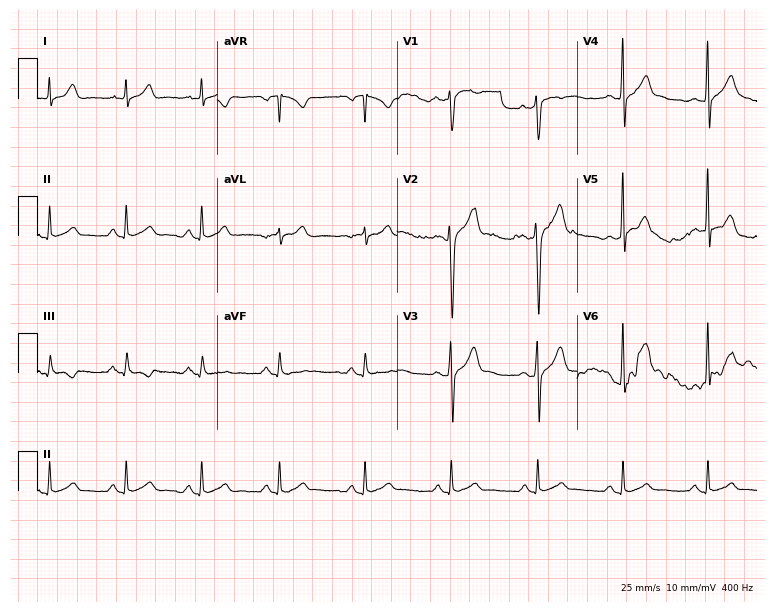
12-lead ECG from a 30-year-old male. Recorded interpretation: within normal limits.